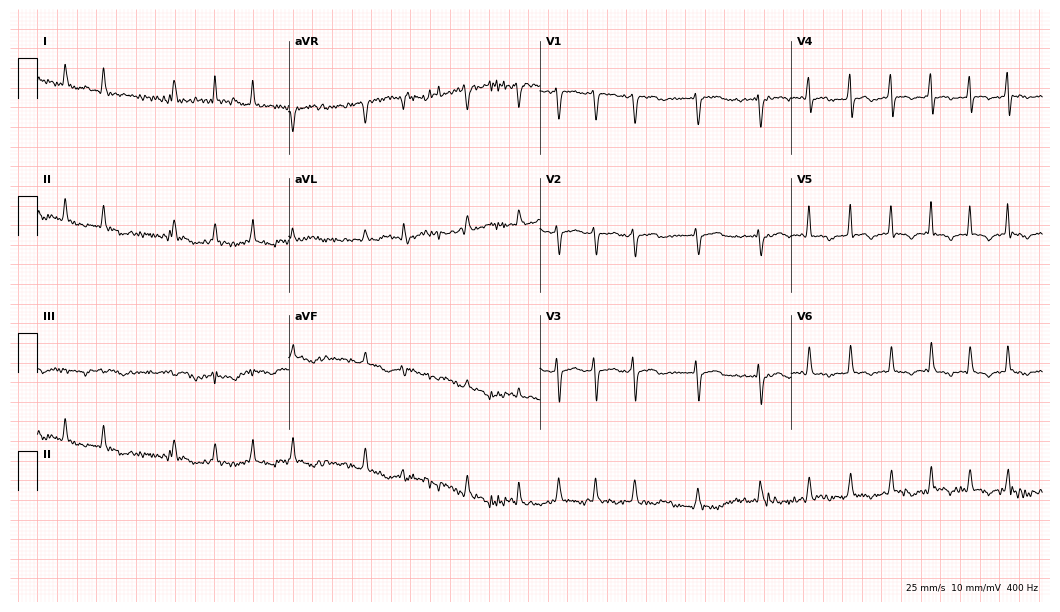
ECG (10.2-second recording at 400 Hz) — a female, 80 years old. Findings include atrial fibrillation (AF).